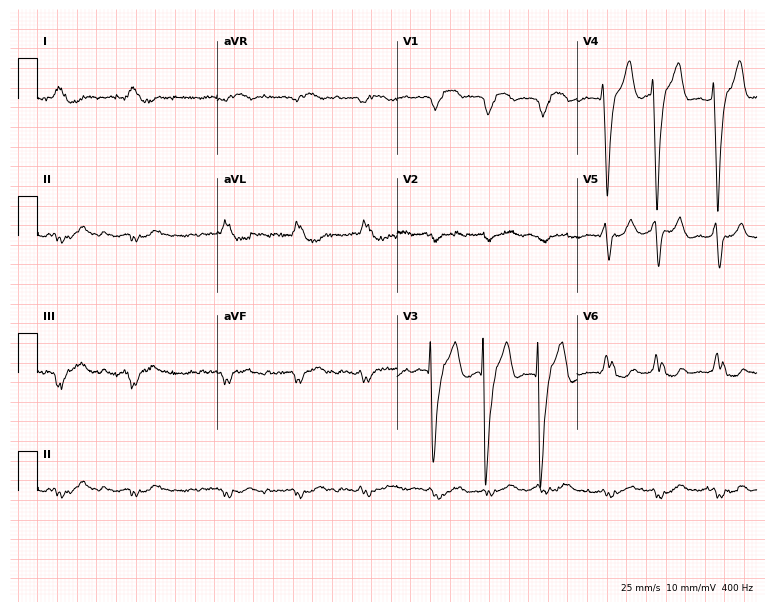
12-lead ECG from a man, 78 years old (7.3-second recording at 400 Hz). Shows left bundle branch block (LBBB), atrial fibrillation (AF).